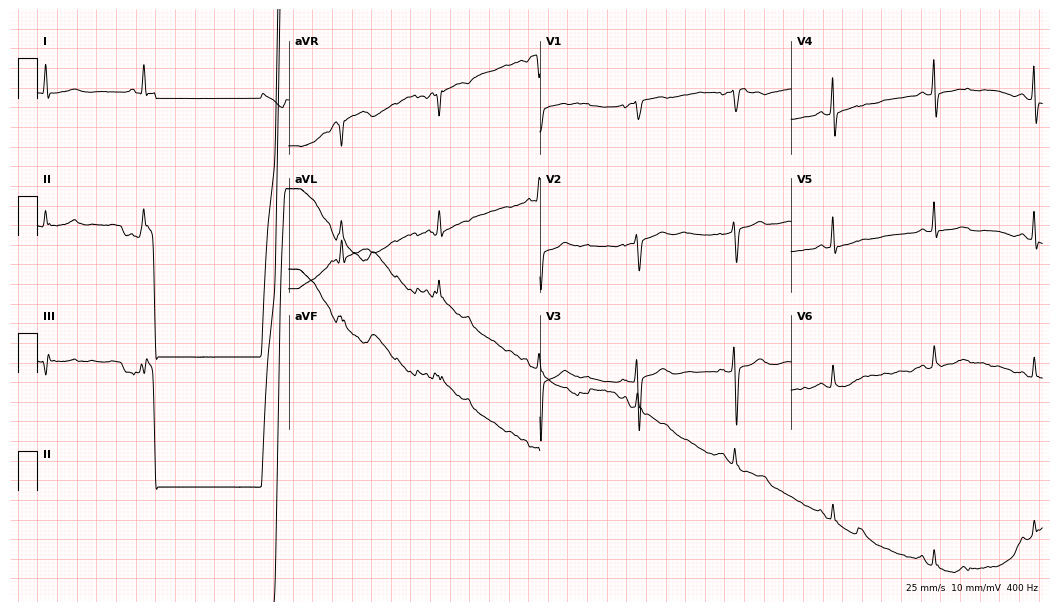
Standard 12-lead ECG recorded from a female patient, 41 years old (10.2-second recording at 400 Hz). None of these six findings is recorded: first-degree AV block, right bundle branch block (RBBB), left bundle branch block (LBBB), sinus bradycardia, atrial fibrillation (AF), sinus tachycardia. Other findings, if any, are not listed.